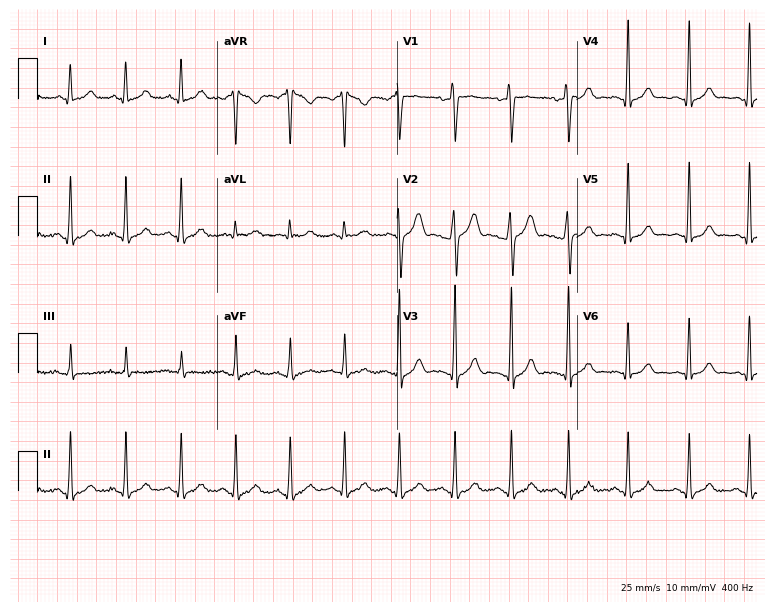
Resting 12-lead electrocardiogram. Patient: a 27-year-old man. None of these six findings is recorded: first-degree AV block, right bundle branch block, left bundle branch block, sinus bradycardia, atrial fibrillation, sinus tachycardia.